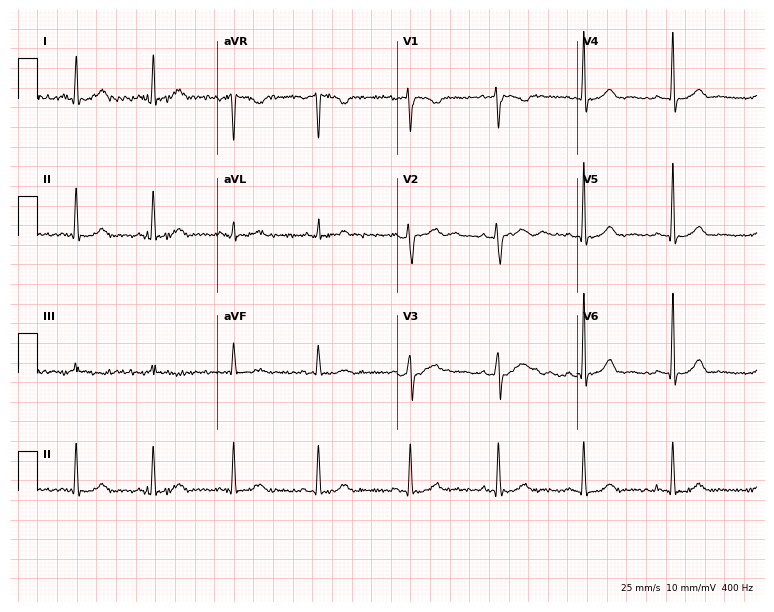
Electrocardiogram, a 31-year-old female patient. Of the six screened findings (first-degree AV block, right bundle branch block (RBBB), left bundle branch block (LBBB), sinus bradycardia, atrial fibrillation (AF), sinus tachycardia), none is recorded. Other findings, if any, are not listed.